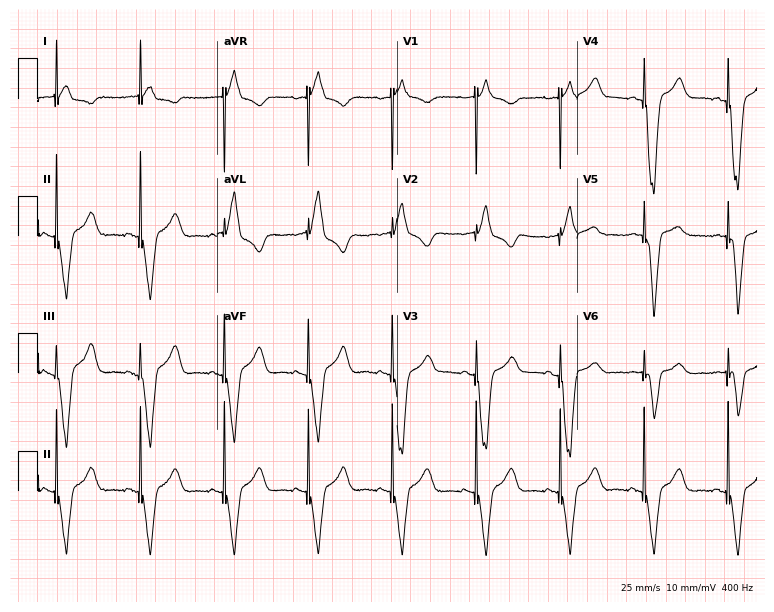
ECG — an 85-year-old female patient. Screened for six findings — first-degree AV block, right bundle branch block (RBBB), left bundle branch block (LBBB), sinus bradycardia, atrial fibrillation (AF), sinus tachycardia — none is recorded.